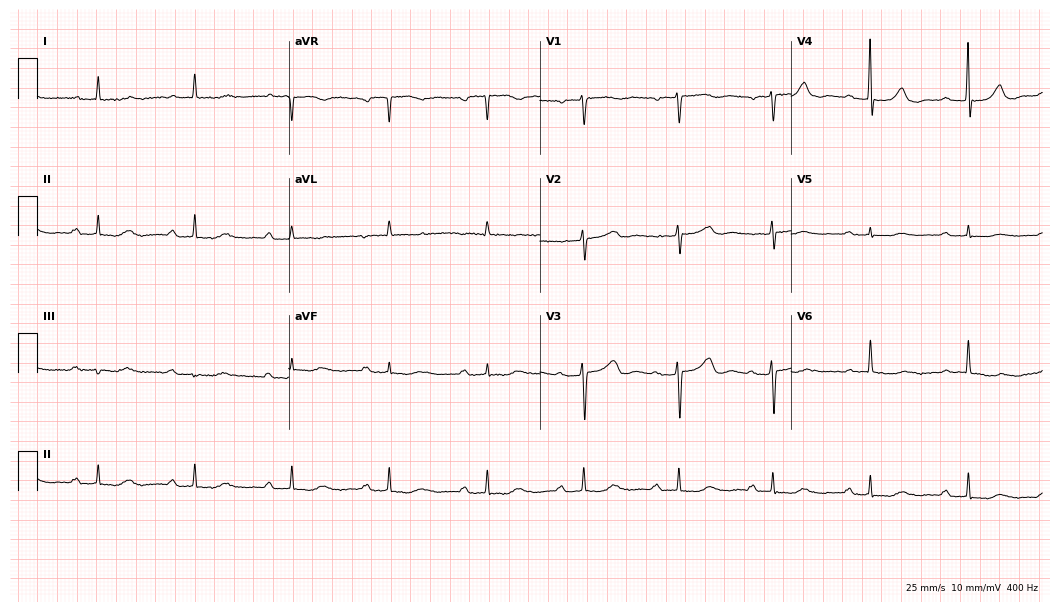
Electrocardiogram, a female patient, 74 years old. Interpretation includes first-degree AV block.